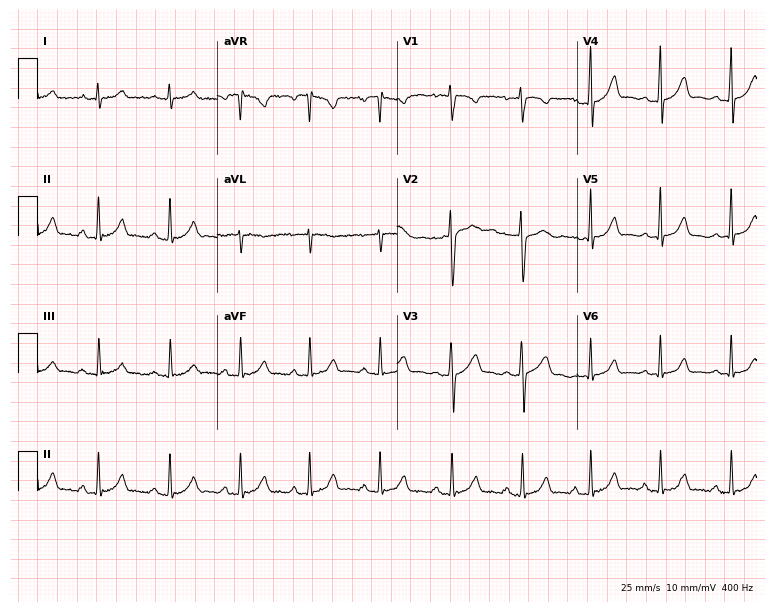
12-lead ECG from a female, 20 years old. Labelled as a normal ECG.